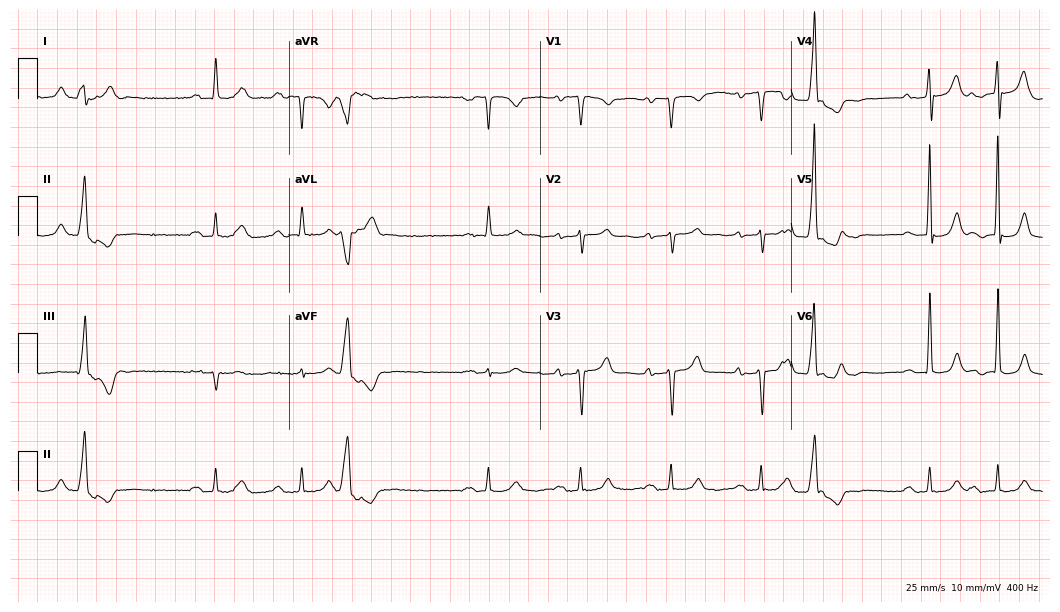
Electrocardiogram, a male patient, 78 years old. Interpretation includes first-degree AV block.